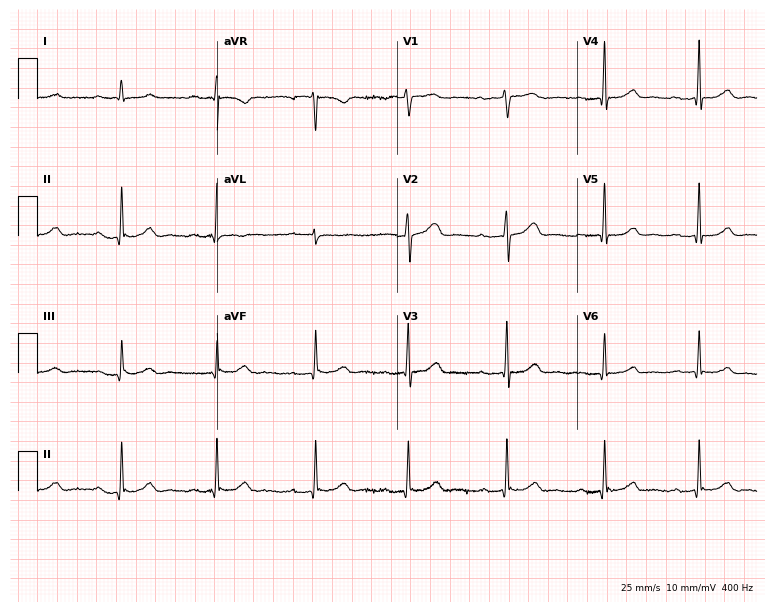
Standard 12-lead ECG recorded from a 51-year-old woman (7.3-second recording at 400 Hz). The tracing shows first-degree AV block.